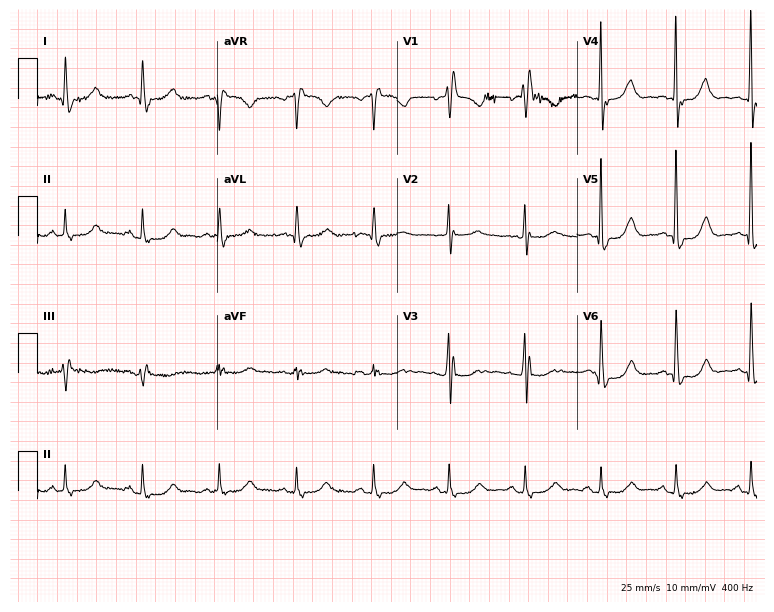
Electrocardiogram, a female, 81 years old. Of the six screened findings (first-degree AV block, right bundle branch block, left bundle branch block, sinus bradycardia, atrial fibrillation, sinus tachycardia), none is recorded.